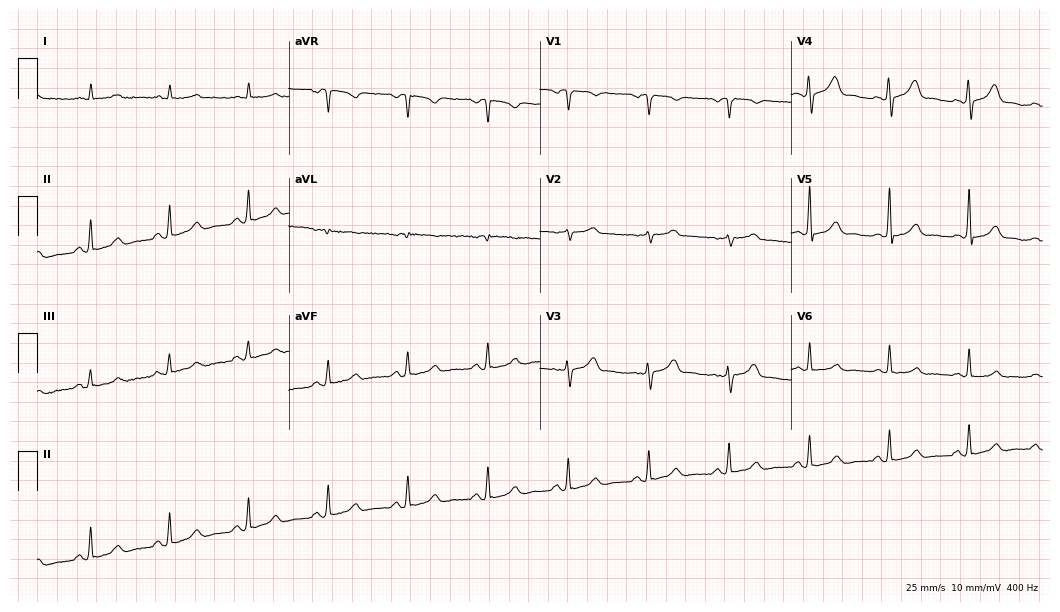
ECG — a 73-year-old male. Labelled as a normal ECG.